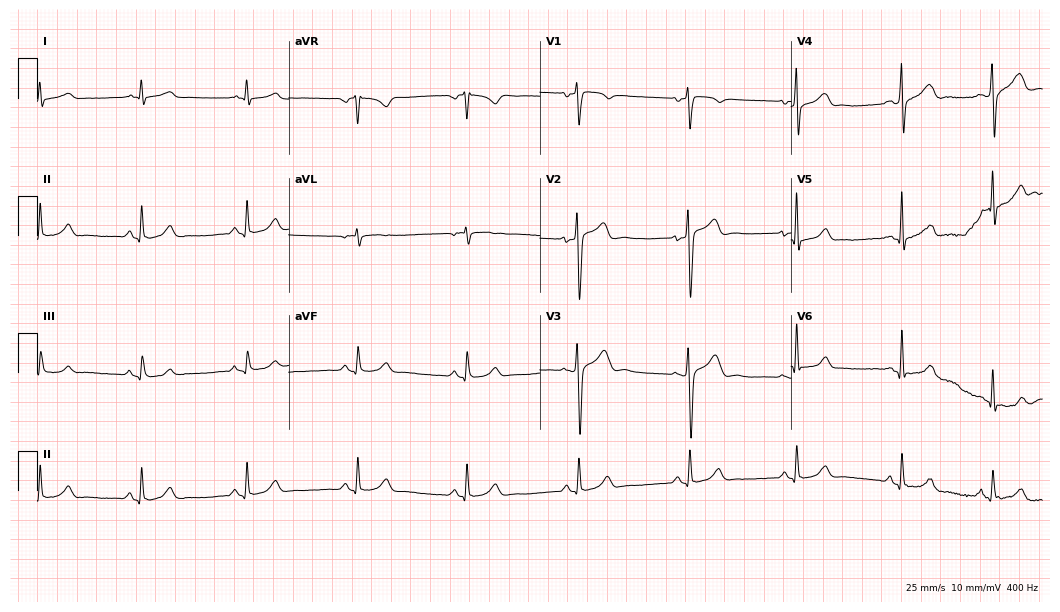
ECG (10.2-second recording at 400 Hz) — a male patient, 39 years old. Labelled as a normal ECG.